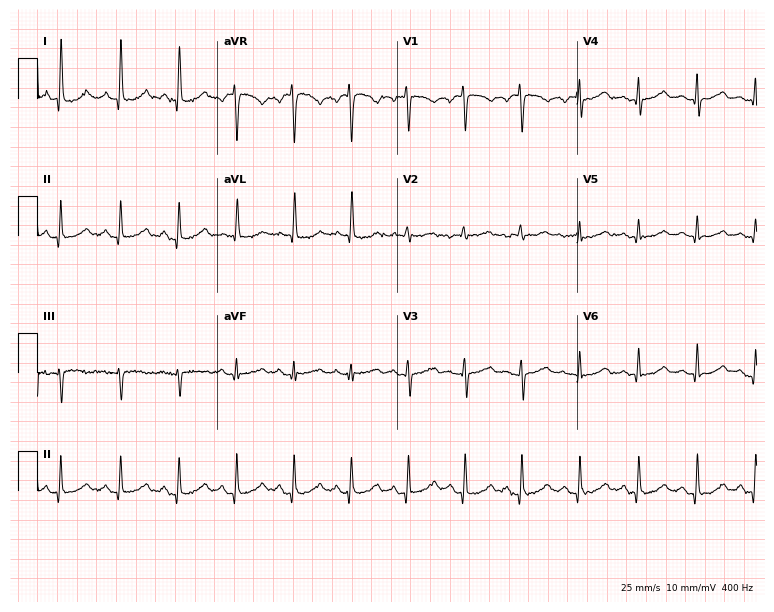
Standard 12-lead ECG recorded from a woman, 36 years old. The tracing shows sinus tachycardia (a sinus rate of 100 beats per minute or more).